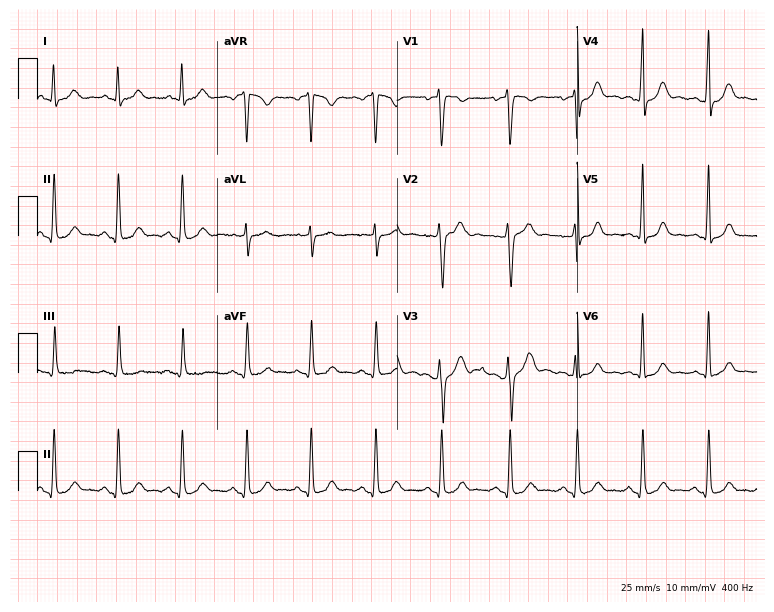
12-lead ECG from a 21-year-old man. Labelled as a normal ECG.